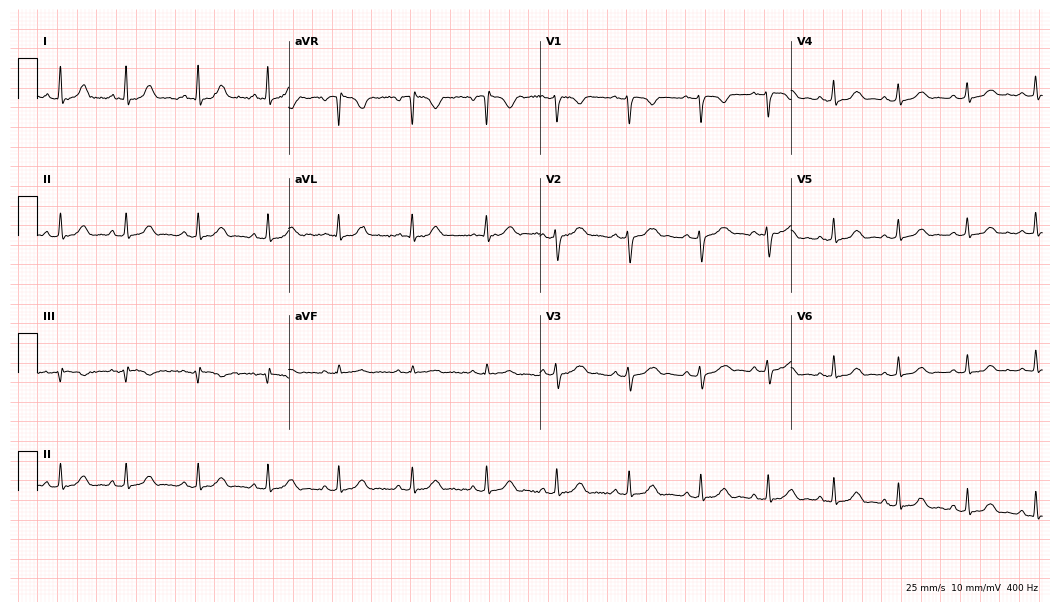
Electrocardiogram, a woman, 27 years old. Overall reading on record: normal ECG.